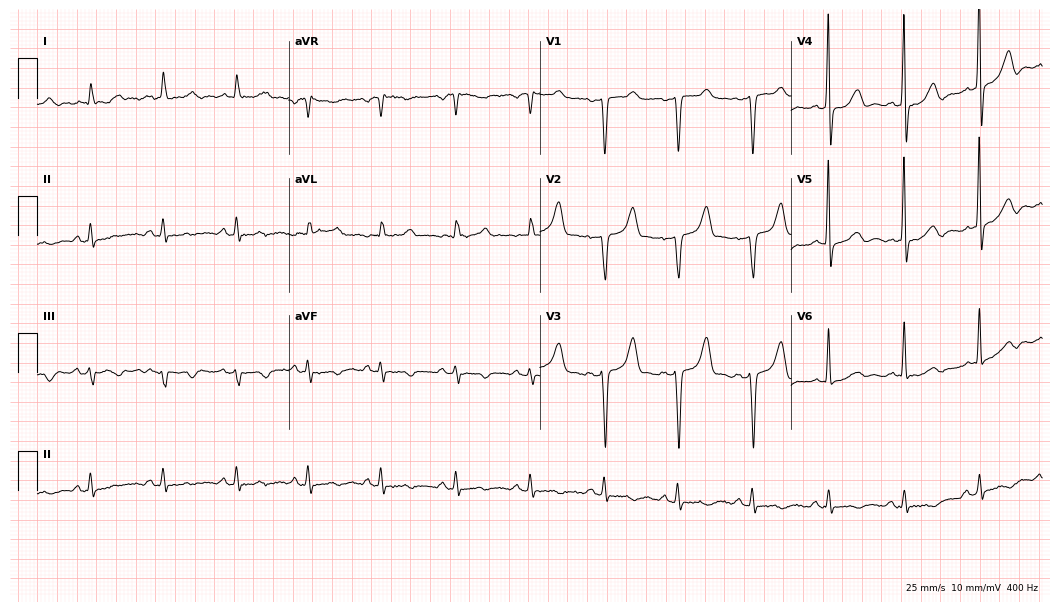
Standard 12-lead ECG recorded from a man, 61 years old. None of these six findings is recorded: first-degree AV block, right bundle branch block (RBBB), left bundle branch block (LBBB), sinus bradycardia, atrial fibrillation (AF), sinus tachycardia.